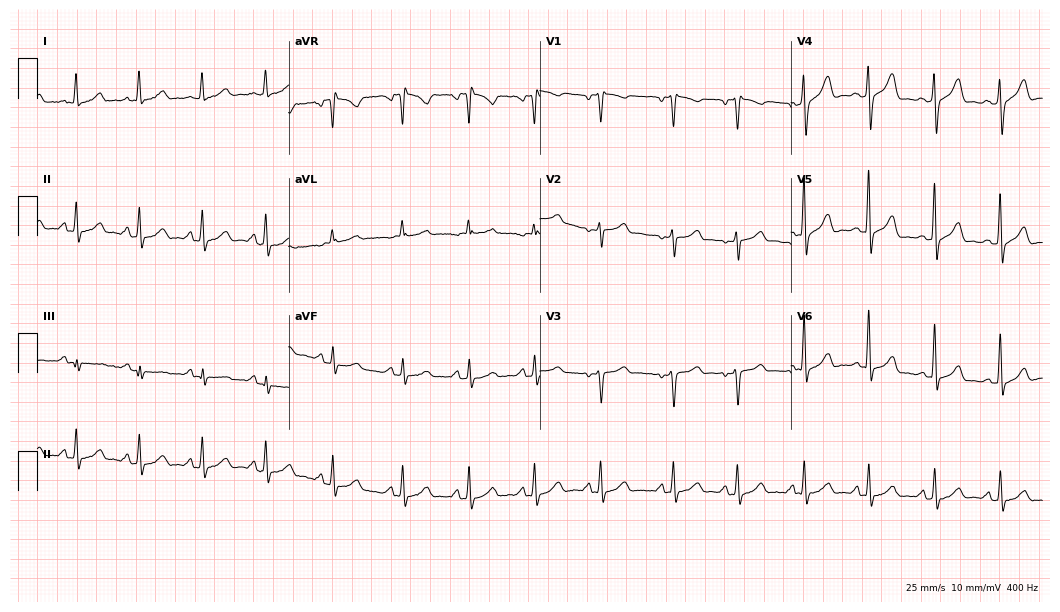
12-lead ECG (10.2-second recording at 400 Hz) from a 44-year-old woman. Labelled as a normal ECG.